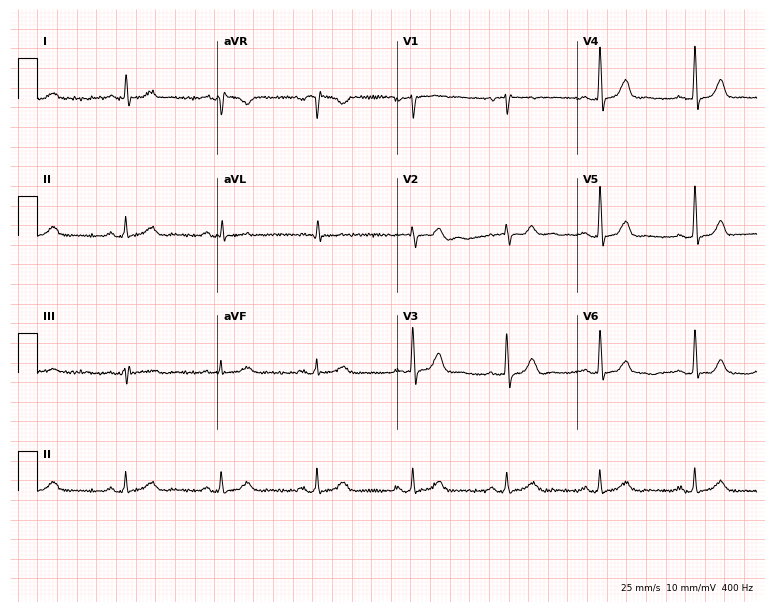
Electrocardiogram (7.3-second recording at 400 Hz), a 67-year-old female. Overall reading on record: normal ECG.